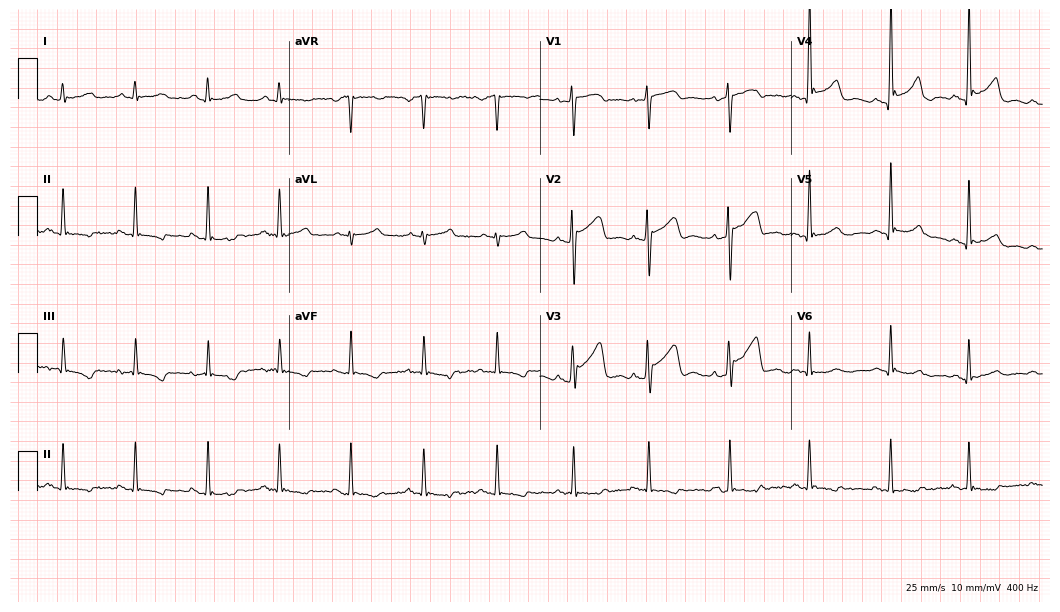
Electrocardiogram (10.2-second recording at 400 Hz), a 43-year-old man. Of the six screened findings (first-degree AV block, right bundle branch block, left bundle branch block, sinus bradycardia, atrial fibrillation, sinus tachycardia), none is recorded.